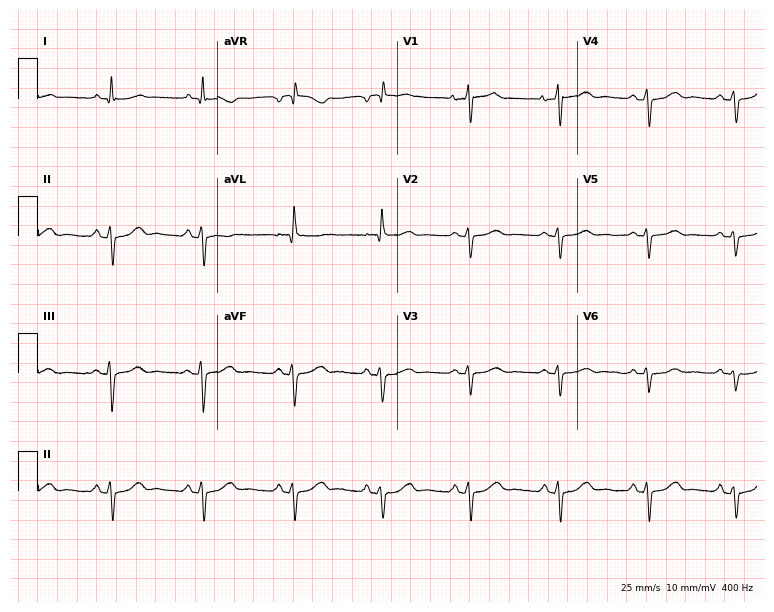
Standard 12-lead ECG recorded from a 69-year-old female. None of these six findings is recorded: first-degree AV block, right bundle branch block, left bundle branch block, sinus bradycardia, atrial fibrillation, sinus tachycardia. Findings outside these six are not listed.